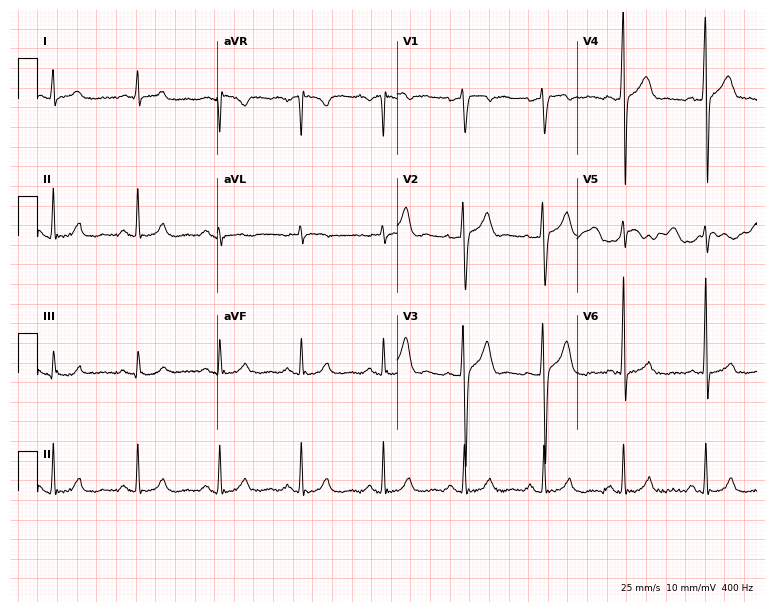
12-lead ECG from a 25-year-old man. No first-degree AV block, right bundle branch block (RBBB), left bundle branch block (LBBB), sinus bradycardia, atrial fibrillation (AF) or sinus tachycardia recorded for this tracing. Only these six findings were labelled.